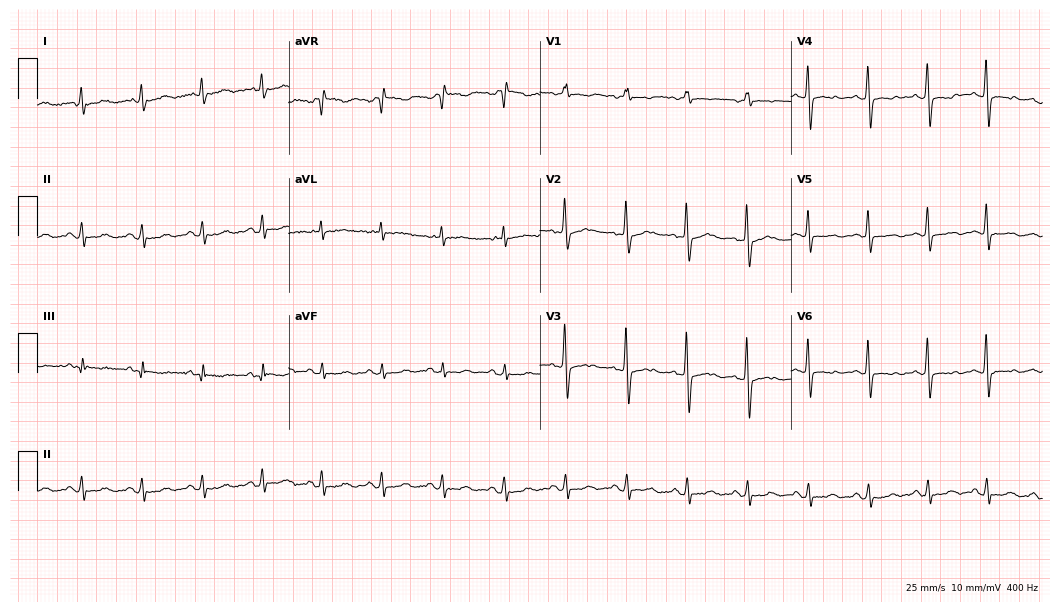
Resting 12-lead electrocardiogram. Patient: a 65-year-old woman. None of these six findings is recorded: first-degree AV block, right bundle branch block, left bundle branch block, sinus bradycardia, atrial fibrillation, sinus tachycardia.